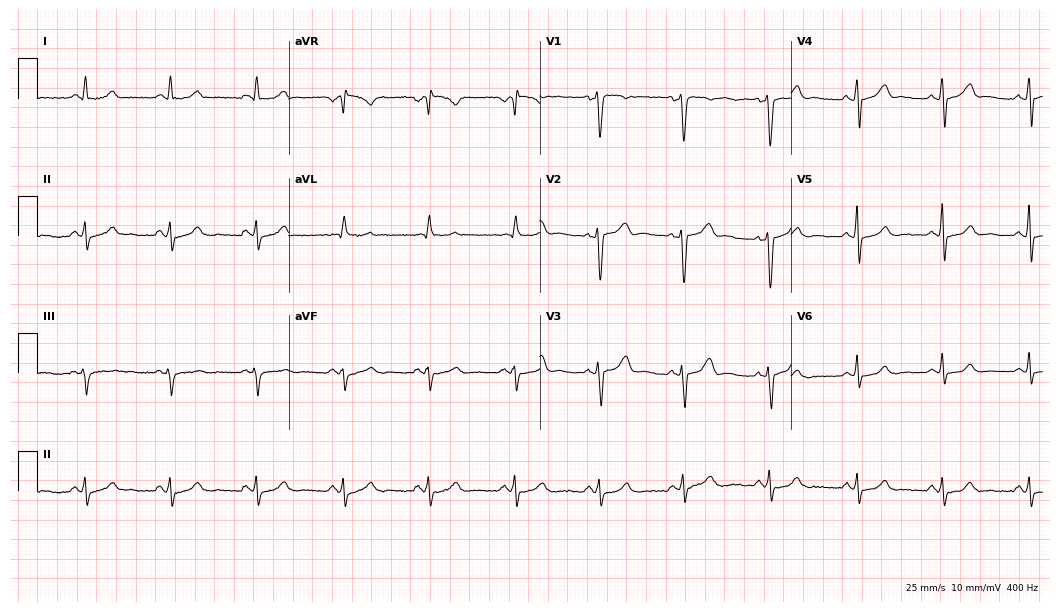
12-lead ECG (10.2-second recording at 400 Hz) from a male patient, 58 years old. Screened for six findings — first-degree AV block, right bundle branch block, left bundle branch block, sinus bradycardia, atrial fibrillation, sinus tachycardia — none is recorded. Findings outside these six are not listed.